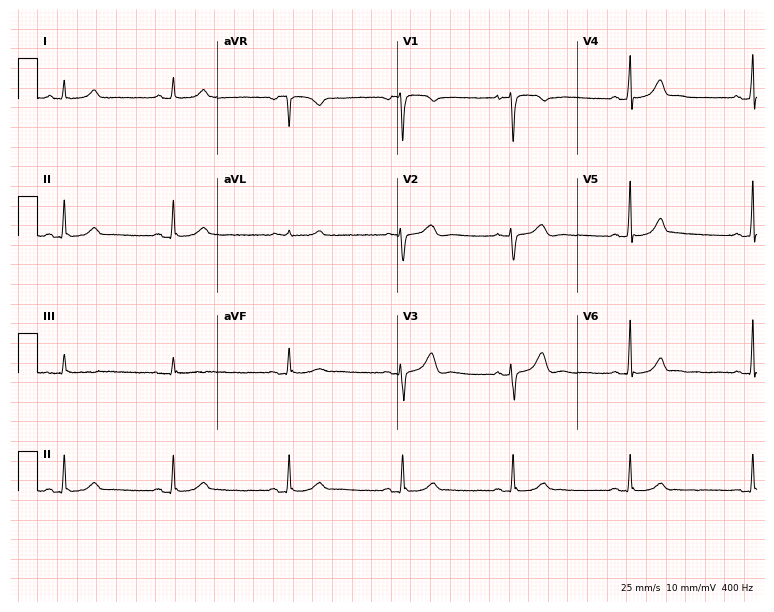
ECG (7.3-second recording at 400 Hz) — a 30-year-old female patient. Screened for six findings — first-degree AV block, right bundle branch block (RBBB), left bundle branch block (LBBB), sinus bradycardia, atrial fibrillation (AF), sinus tachycardia — none is recorded. Findings outside these six are not listed.